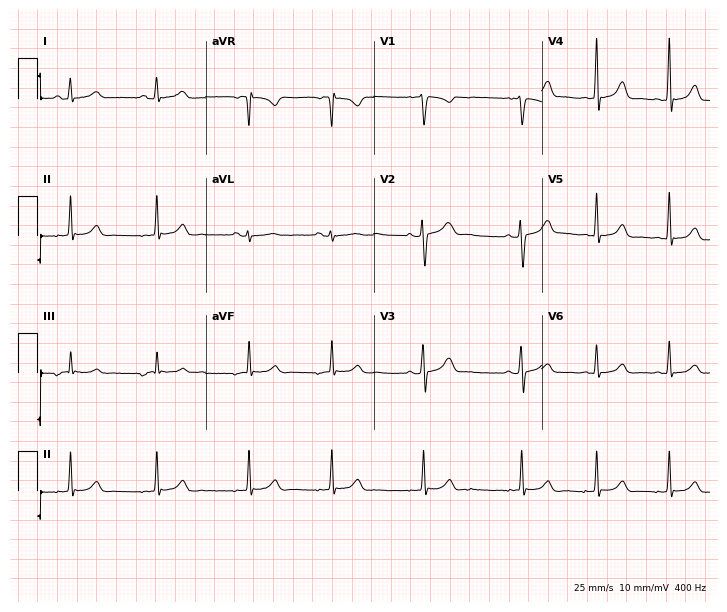
Electrocardiogram (6.9-second recording at 400 Hz), a female, 18 years old. Of the six screened findings (first-degree AV block, right bundle branch block, left bundle branch block, sinus bradycardia, atrial fibrillation, sinus tachycardia), none is recorded. Only these six findings were labelled.